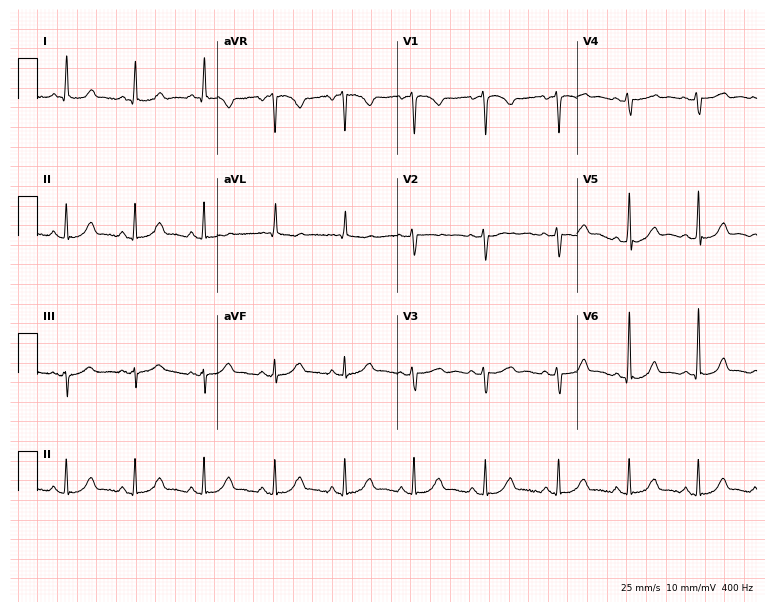
12-lead ECG from a woman, 47 years old (7.3-second recording at 400 Hz). Recorded interpretation: within normal limits.